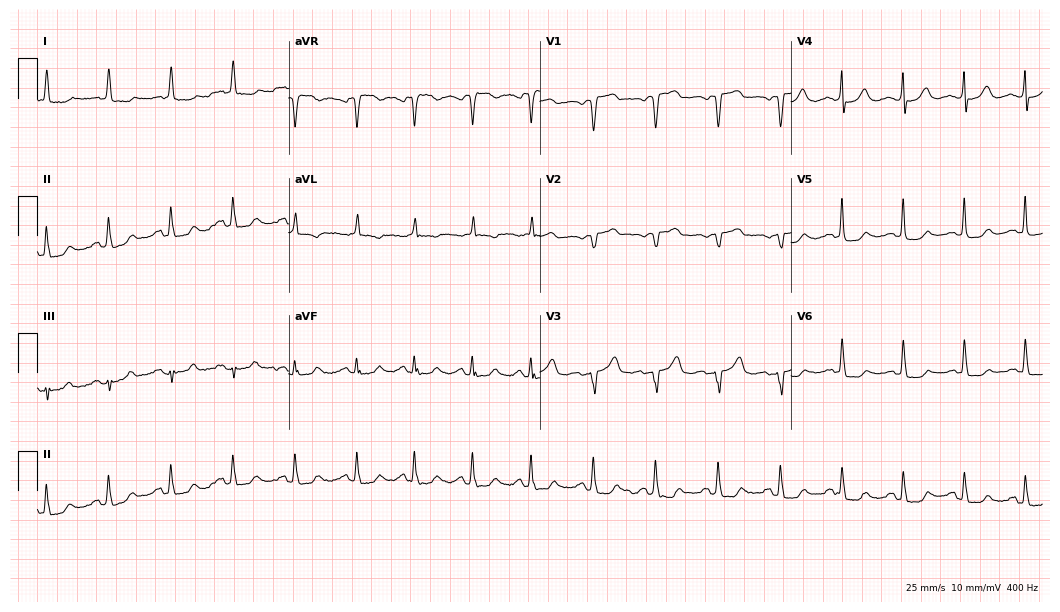
ECG (10.2-second recording at 400 Hz) — a 69-year-old female. Screened for six findings — first-degree AV block, right bundle branch block (RBBB), left bundle branch block (LBBB), sinus bradycardia, atrial fibrillation (AF), sinus tachycardia — none is recorded. Only these six findings were labelled.